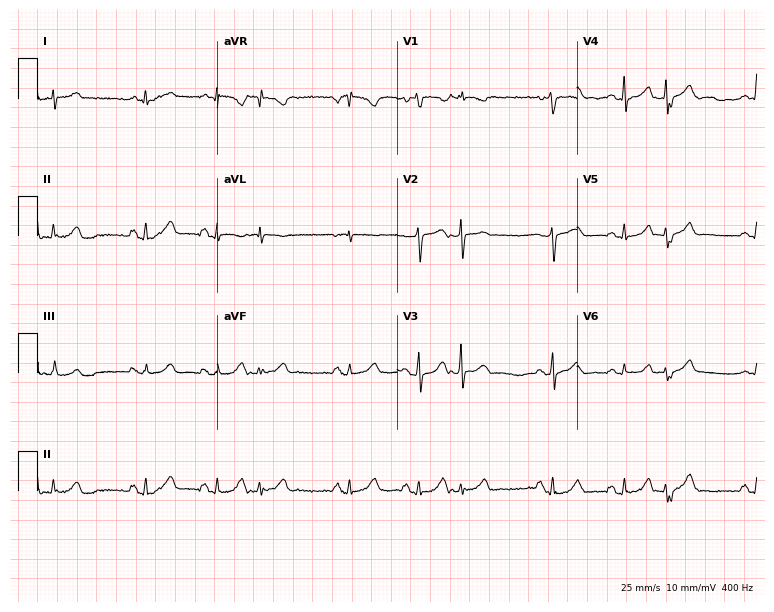
Electrocardiogram, a 53-year-old woman. Of the six screened findings (first-degree AV block, right bundle branch block, left bundle branch block, sinus bradycardia, atrial fibrillation, sinus tachycardia), none is recorded.